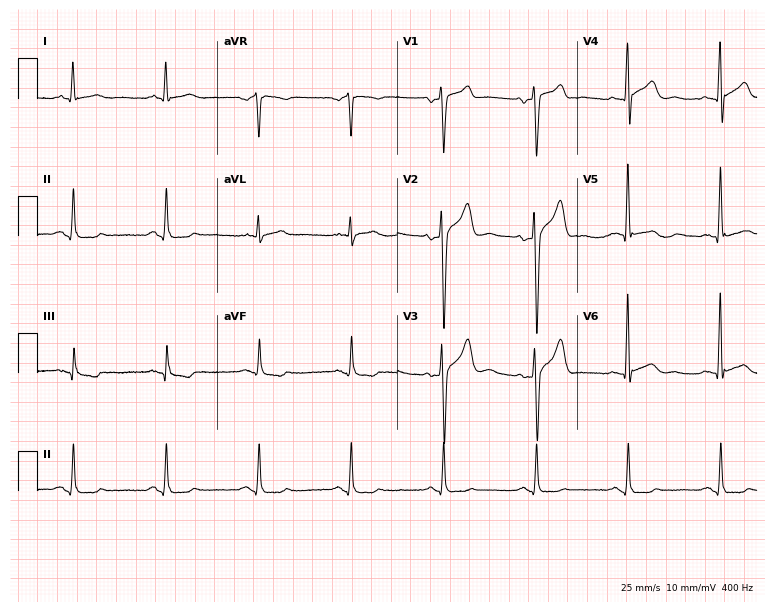
12-lead ECG (7.3-second recording at 400 Hz) from a 59-year-old male patient. Screened for six findings — first-degree AV block, right bundle branch block, left bundle branch block, sinus bradycardia, atrial fibrillation, sinus tachycardia — none is recorded.